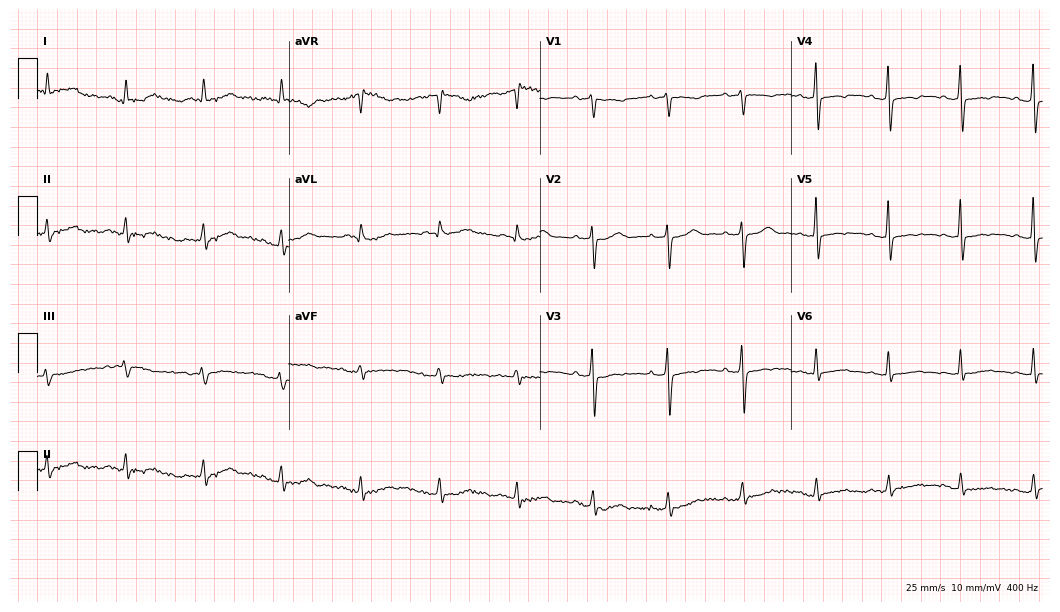
12-lead ECG from a 61-year-old female patient. Screened for six findings — first-degree AV block, right bundle branch block, left bundle branch block, sinus bradycardia, atrial fibrillation, sinus tachycardia — none is recorded. Findings outside these six are not listed.